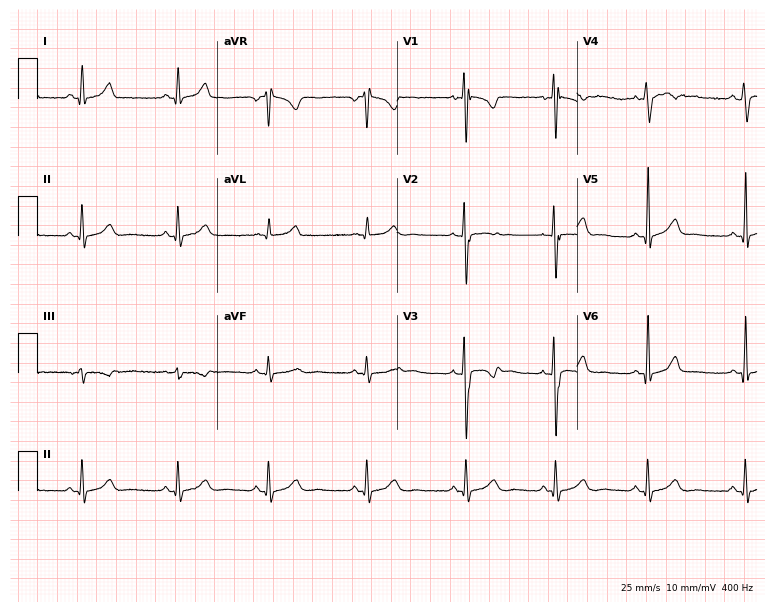
Electrocardiogram (7.3-second recording at 400 Hz), a 30-year-old female patient. Overall reading on record: normal ECG.